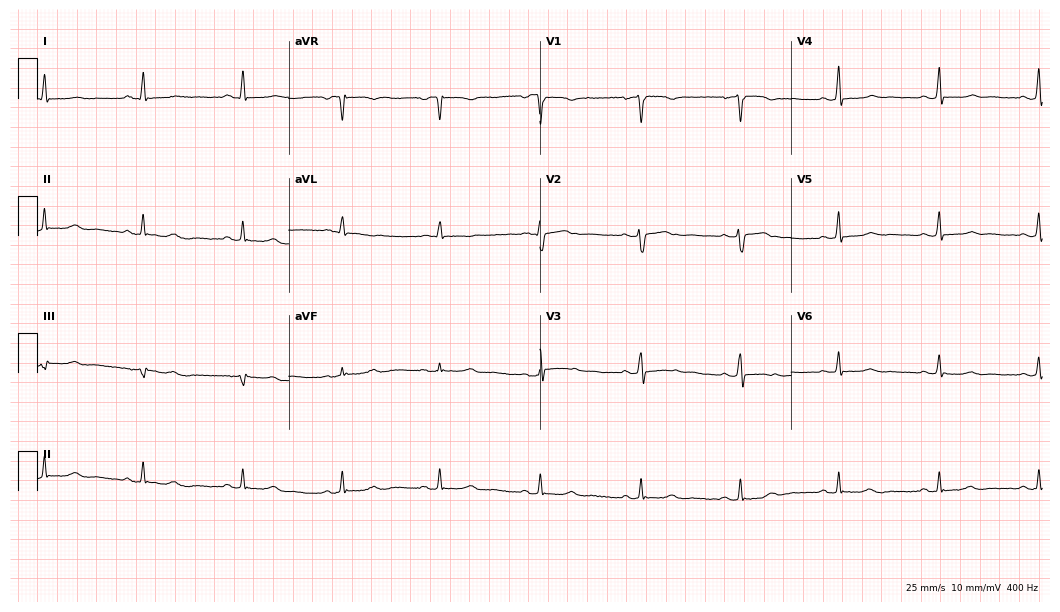
Electrocardiogram, a woman, 60 years old. Of the six screened findings (first-degree AV block, right bundle branch block, left bundle branch block, sinus bradycardia, atrial fibrillation, sinus tachycardia), none is recorded. Findings outside these six are not listed.